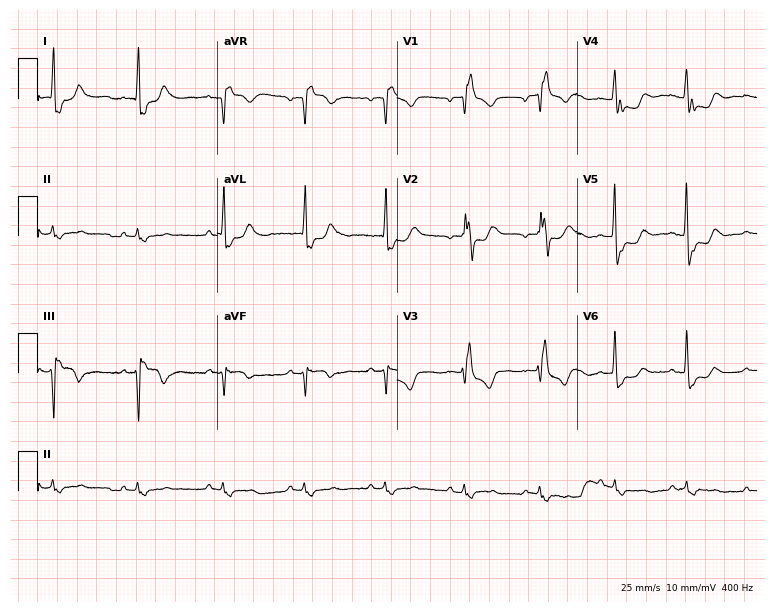
ECG (7.3-second recording at 400 Hz) — a male patient, 79 years old. Screened for six findings — first-degree AV block, right bundle branch block (RBBB), left bundle branch block (LBBB), sinus bradycardia, atrial fibrillation (AF), sinus tachycardia — none is recorded. Findings outside these six are not listed.